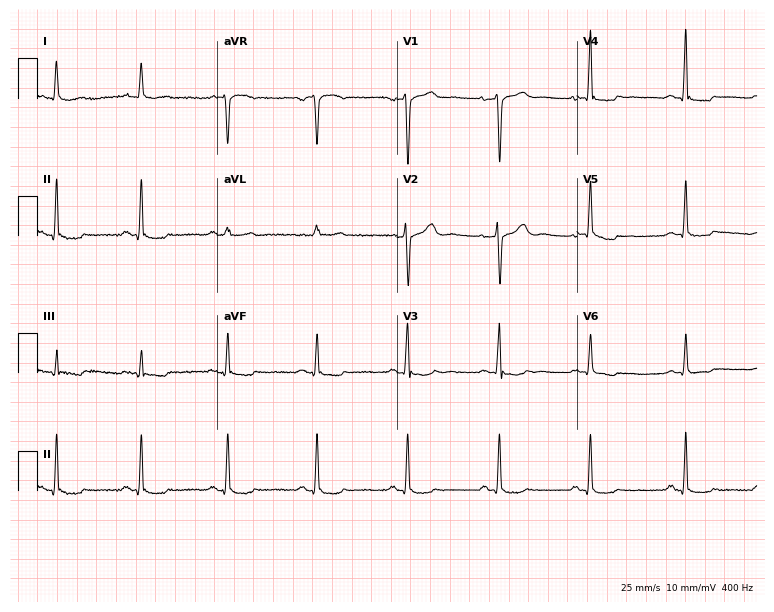
ECG — a 69-year-old female patient. Screened for six findings — first-degree AV block, right bundle branch block, left bundle branch block, sinus bradycardia, atrial fibrillation, sinus tachycardia — none is recorded. Other findings, if any, are not listed.